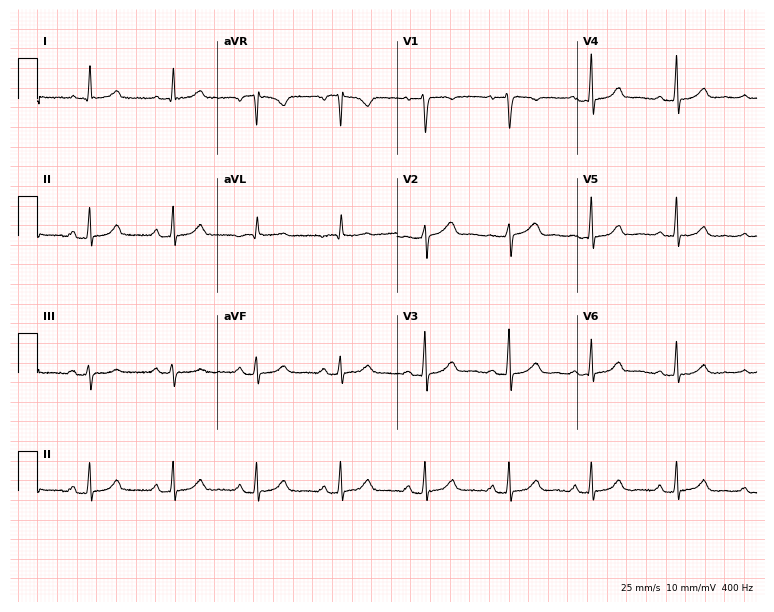
Resting 12-lead electrocardiogram (7.3-second recording at 400 Hz). Patient: a woman, 65 years old. Read as a normal ECG.